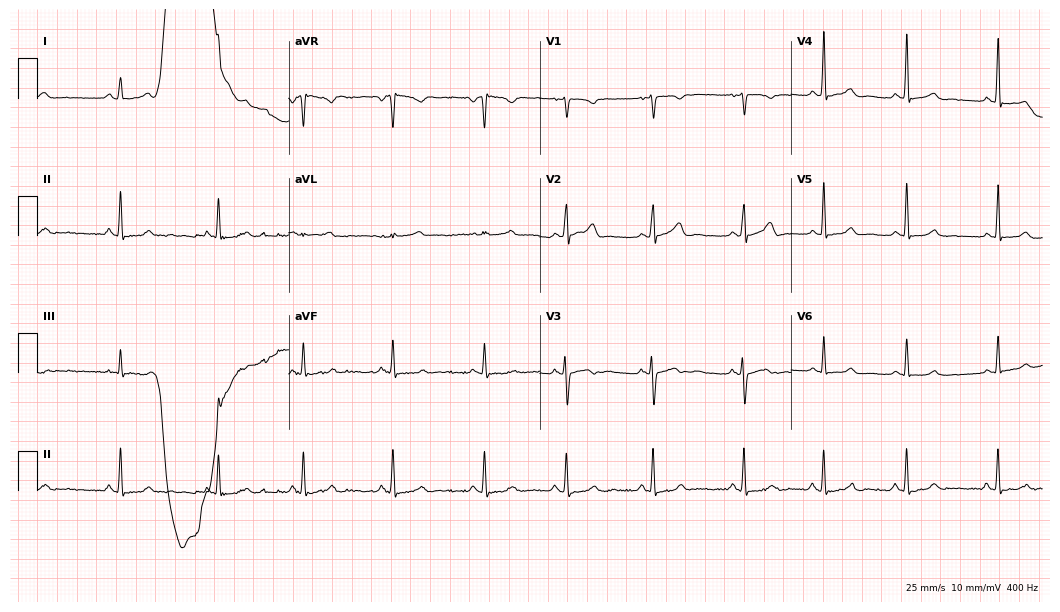
Electrocardiogram, a female patient, 25 years old. Overall reading on record: normal ECG.